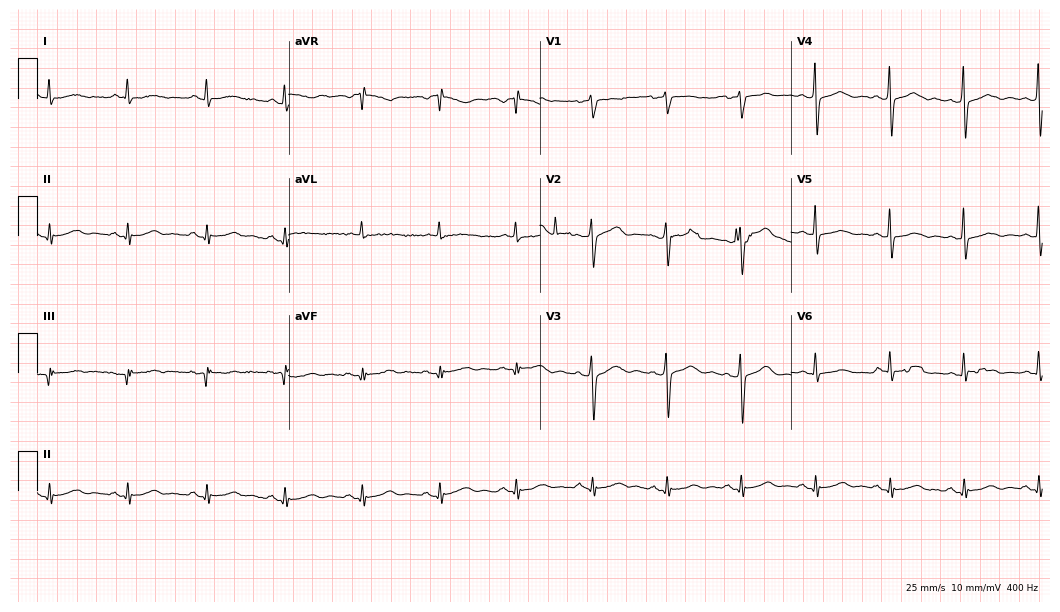
Standard 12-lead ECG recorded from a female patient, 68 years old (10.2-second recording at 400 Hz). None of these six findings is recorded: first-degree AV block, right bundle branch block, left bundle branch block, sinus bradycardia, atrial fibrillation, sinus tachycardia. Only these six findings were labelled.